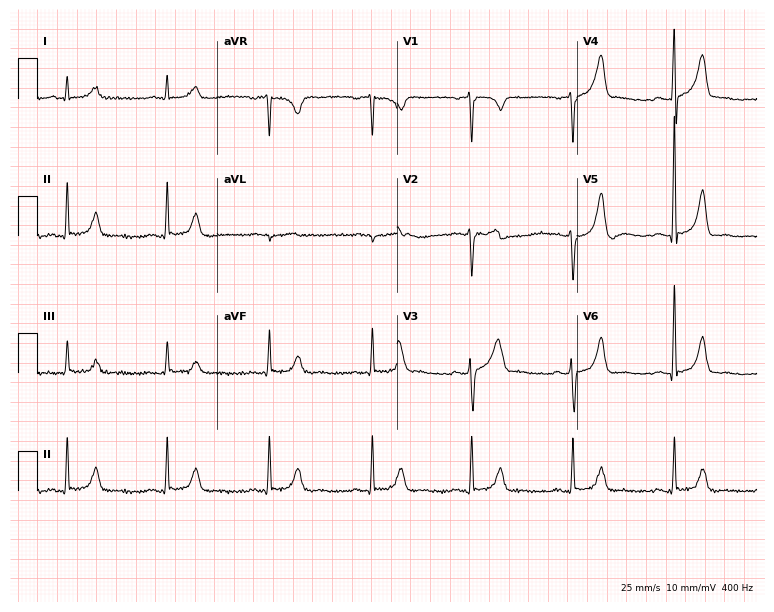
Electrocardiogram (7.3-second recording at 400 Hz), a 52-year-old male. Overall reading on record: normal ECG.